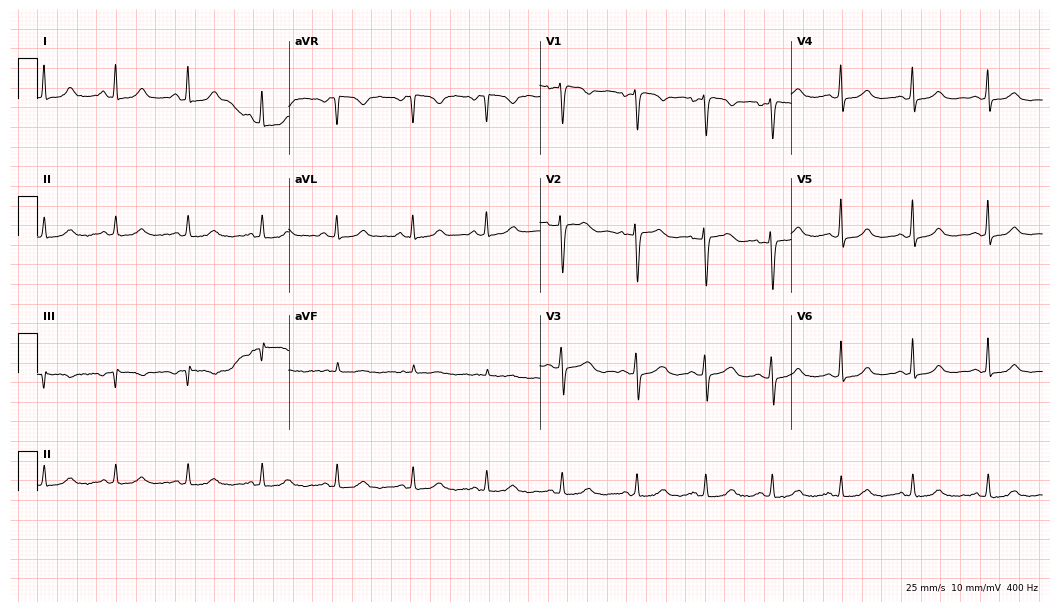
12-lead ECG from a 50-year-old female. Labelled as a normal ECG.